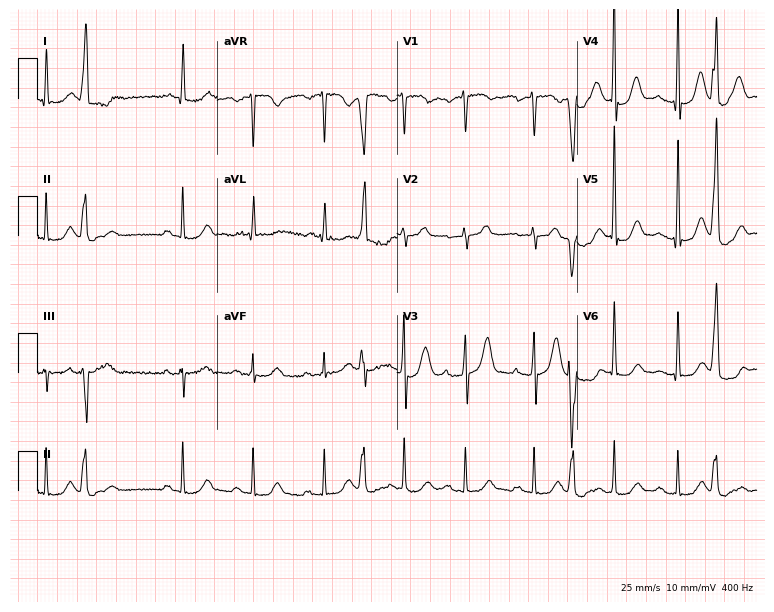
Resting 12-lead electrocardiogram. Patient: an 81-year-old female. None of these six findings is recorded: first-degree AV block, right bundle branch block, left bundle branch block, sinus bradycardia, atrial fibrillation, sinus tachycardia.